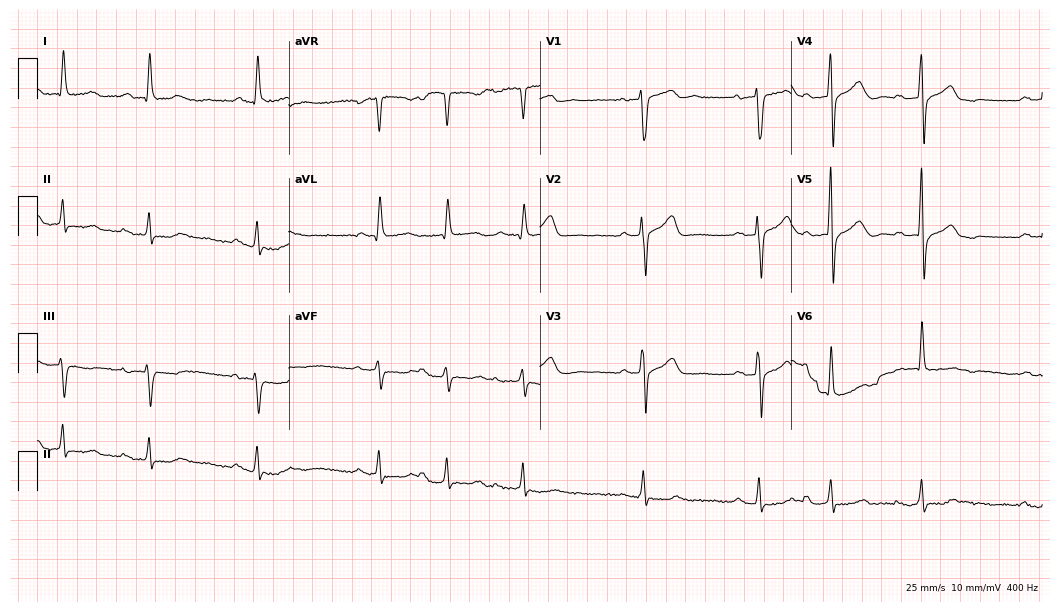
Standard 12-lead ECG recorded from a male patient, 76 years old. None of these six findings is recorded: first-degree AV block, right bundle branch block, left bundle branch block, sinus bradycardia, atrial fibrillation, sinus tachycardia.